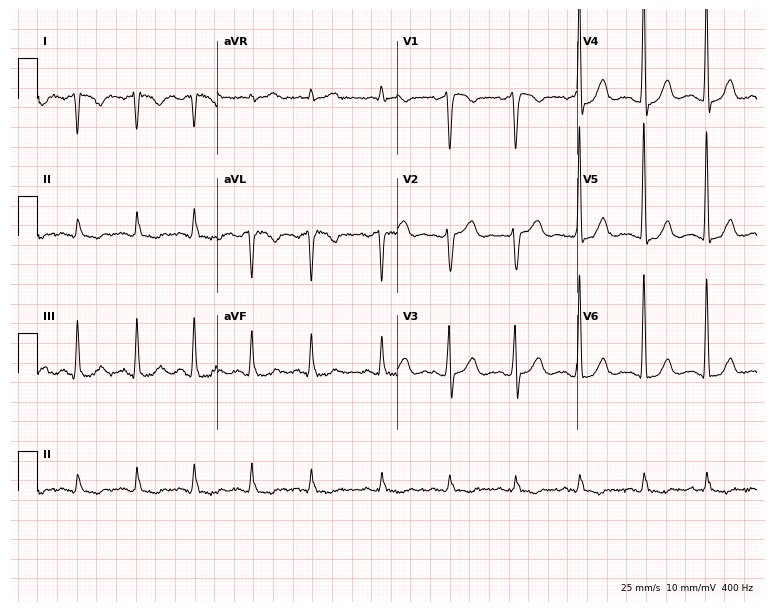
Resting 12-lead electrocardiogram. Patient: a 52-year-old man. None of these six findings is recorded: first-degree AV block, right bundle branch block, left bundle branch block, sinus bradycardia, atrial fibrillation, sinus tachycardia.